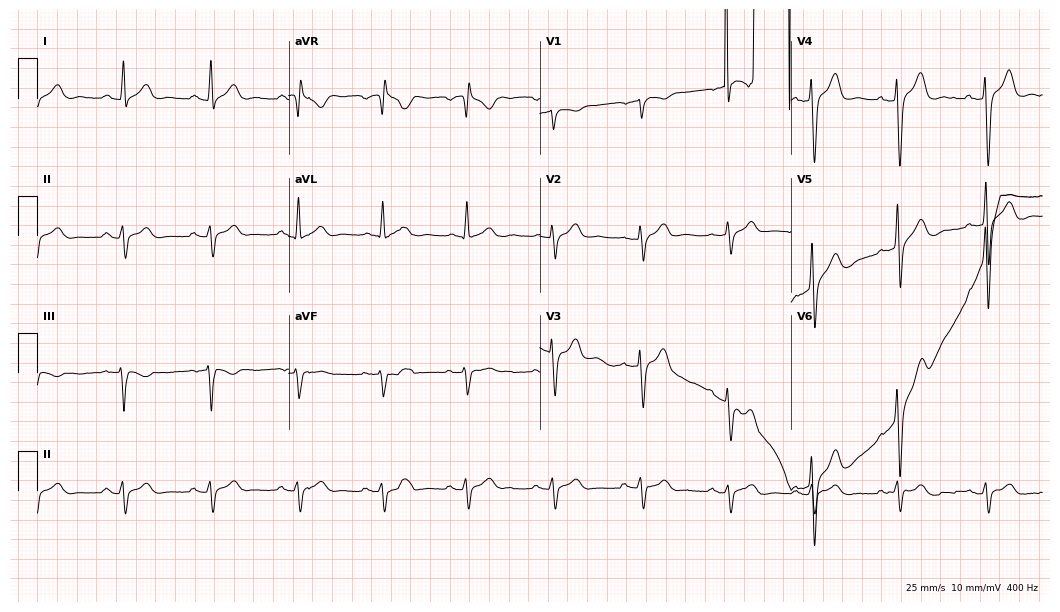
ECG — a 52-year-old man. Screened for six findings — first-degree AV block, right bundle branch block, left bundle branch block, sinus bradycardia, atrial fibrillation, sinus tachycardia — none is recorded.